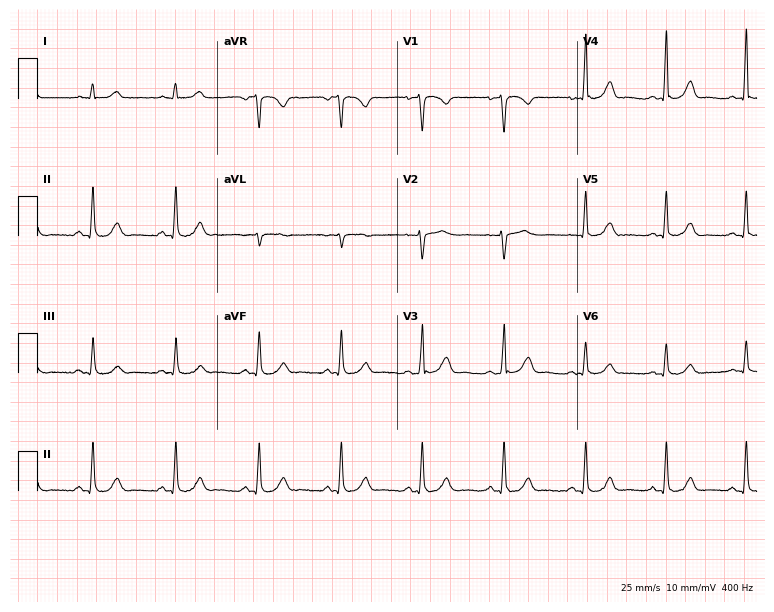
12-lead ECG from a female, 39 years old. Labelled as a normal ECG.